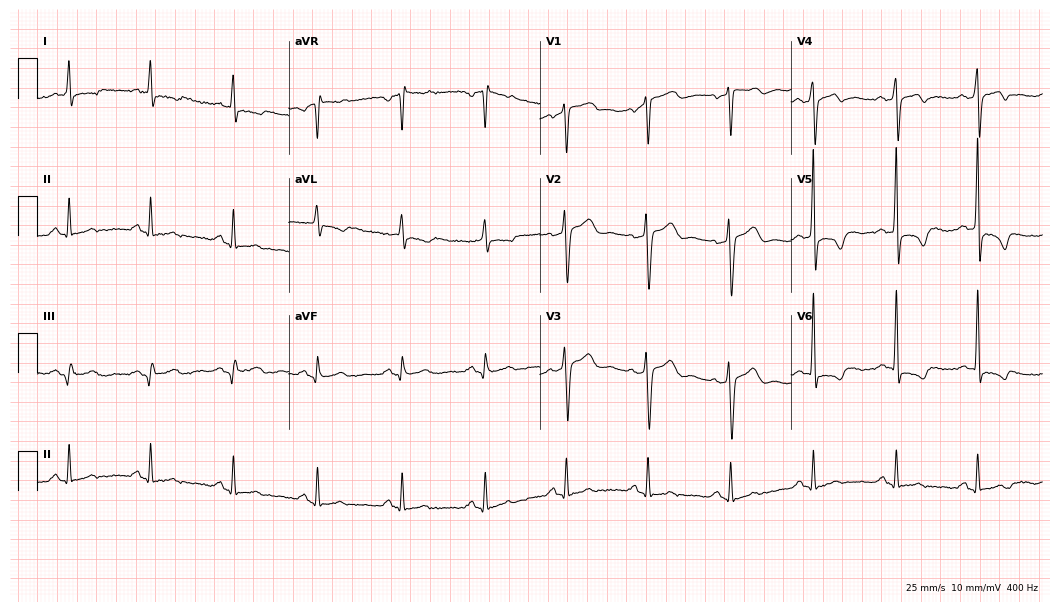
Standard 12-lead ECG recorded from a male patient, 78 years old. None of these six findings is recorded: first-degree AV block, right bundle branch block (RBBB), left bundle branch block (LBBB), sinus bradycardia, atrial fibrillation (AF), sinus tachycardia. Other findings, if any, are not listed.